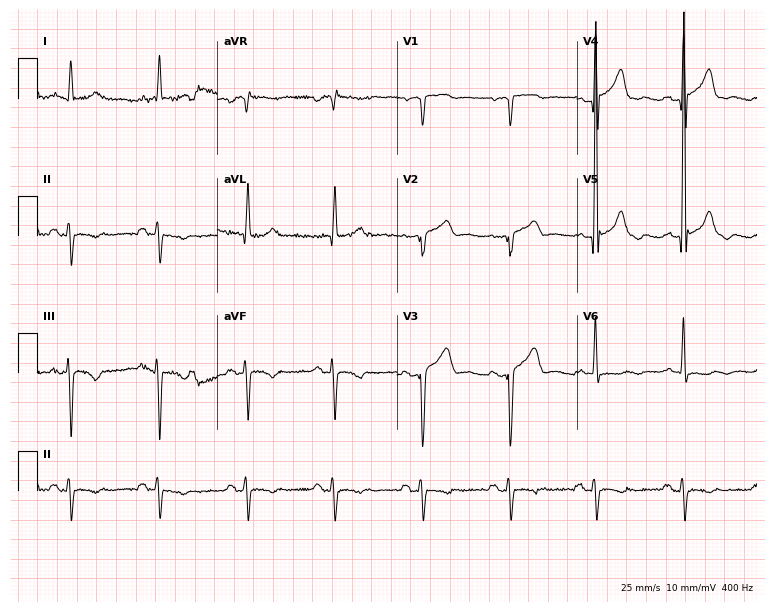
12-lead ECG from a 54-year-old male patient (7.3-second recording at 400 Hz). No first-degree AV block, right bundle branch block, left bundle branch block, sinus bradycardia, atrial fibrillation or sinus tachycardia recorded for this tracing.